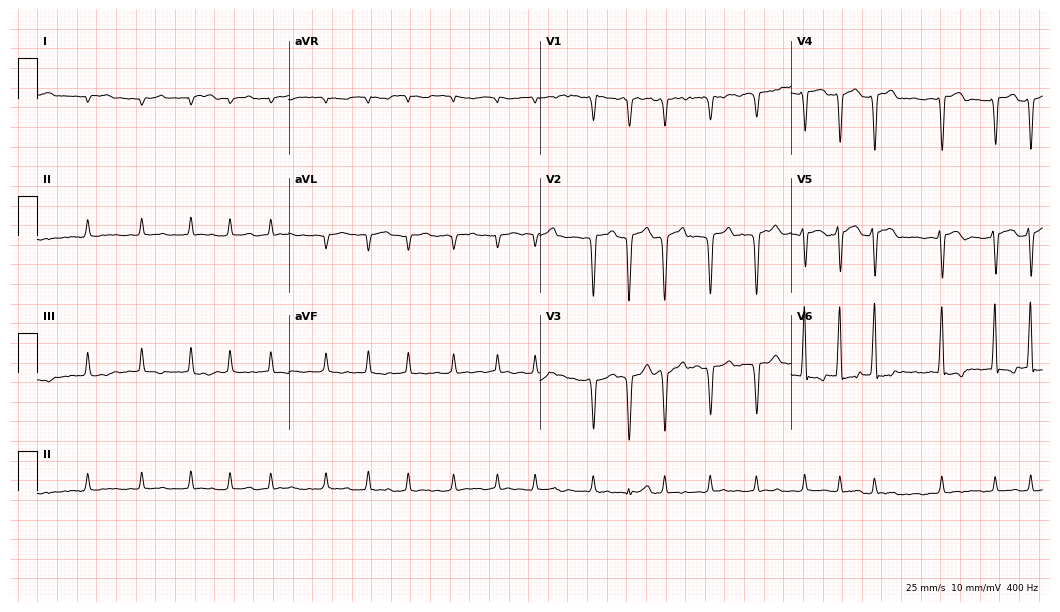
ECG (10.2-second recording at 400 Hz) — a man, 31 years old. Screened for six findings — first-degree AV block, right bundle branch block, left bundle branch block, sinus bradycardia, atrial fibrillation, sinus tachycardia — none is recorded.